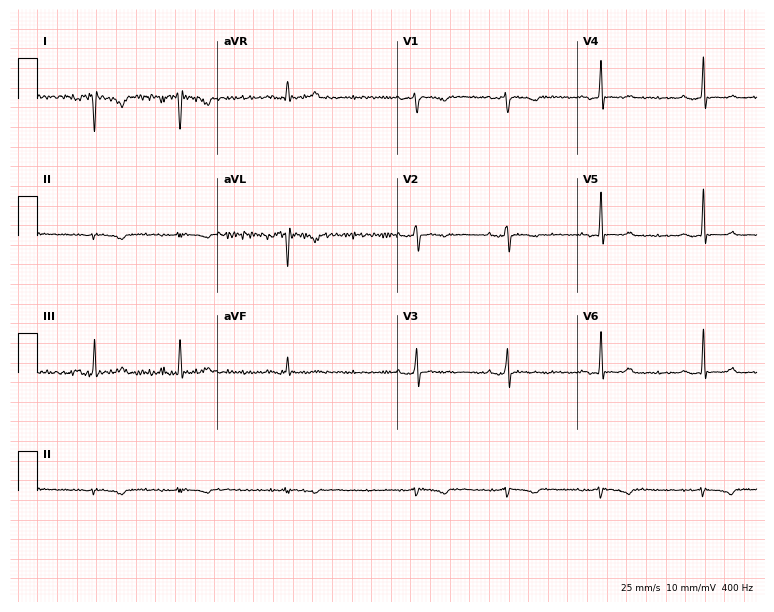
Standard 12-lead ECG recorded from a woman, 36 years old. None of these six findings is recorded: first-degree AV block, right bundle branch block, left bundle branch block, sinus bradycardia, atrial fibrillation, sinus tachycardia.